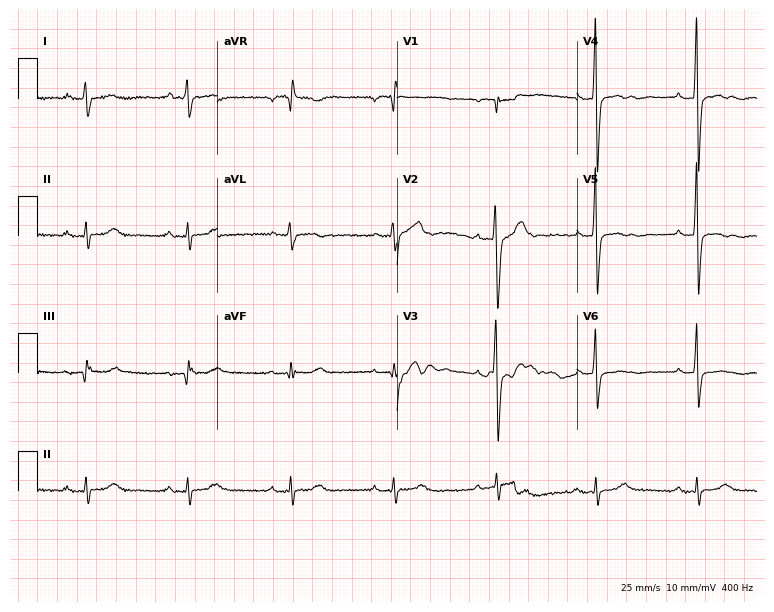
Electrocardiogram, a 48-year-old male patient. Of the six screened findings (first-degree AV block, right bundle branch block, left bundle branch block, sinus bradycardia, atrial fibrillation, sinus tachycardia), none is recorded. Findings outside these six are not listed.